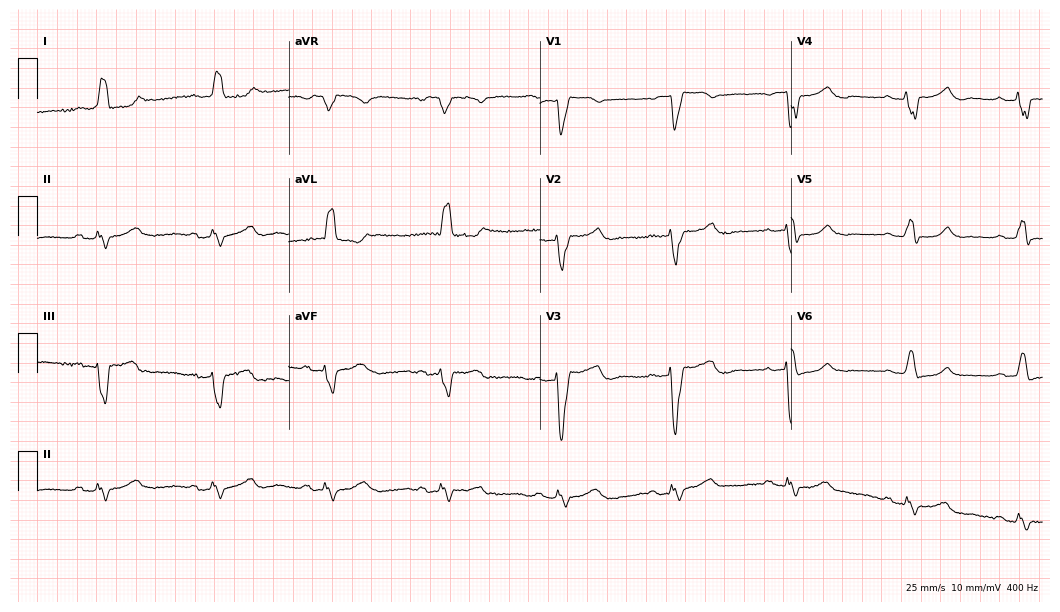
Electrocardiogram, a female, 73 years old. Interpretation includes left bundle branch block (LBBB).